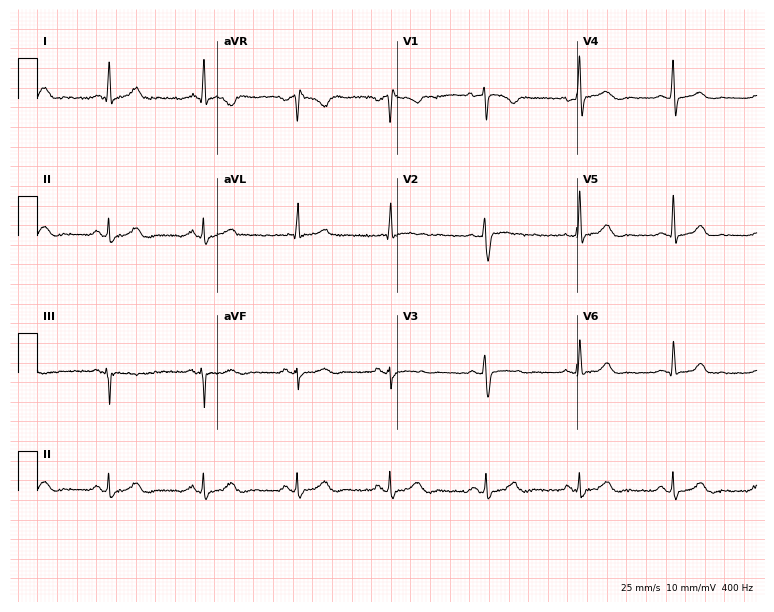
12-lead ECG (7.3-second recording at 400 Hz) from a 44-year-old woman. Screened for six findings — first-degree AV block, right bundle branch block (RBBB), left bundle branch block (LBBB), sinus bradycardia, atrial fibrillation (AF), sinus tachycardia — none is recorded.